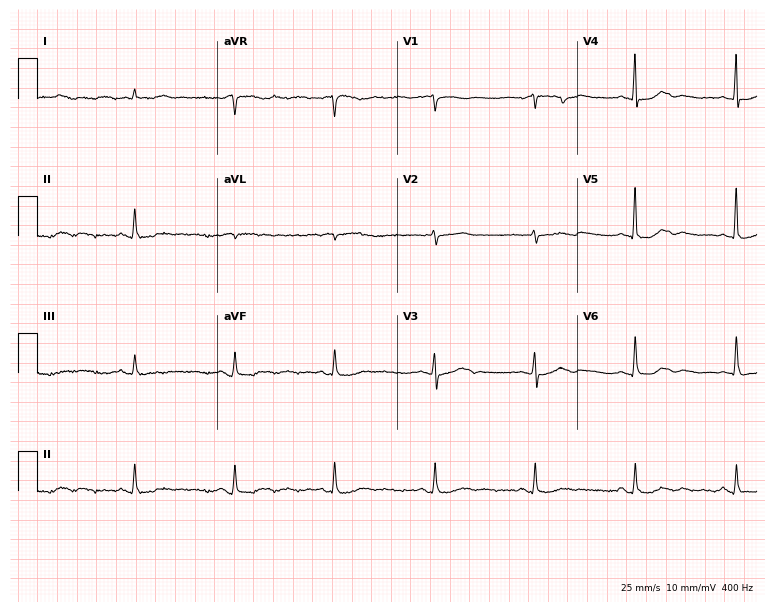
Electrocardiogram (7.3-second recording at 400 Hz), a 75-year-old female. Of the six screened findings (first-degree AV block, right bundle branch block (RBBB), left bundle branch block (LBBB), sinus bradycardia, atrial fibrillation (AF), sinus tachycardia), none is recorded.